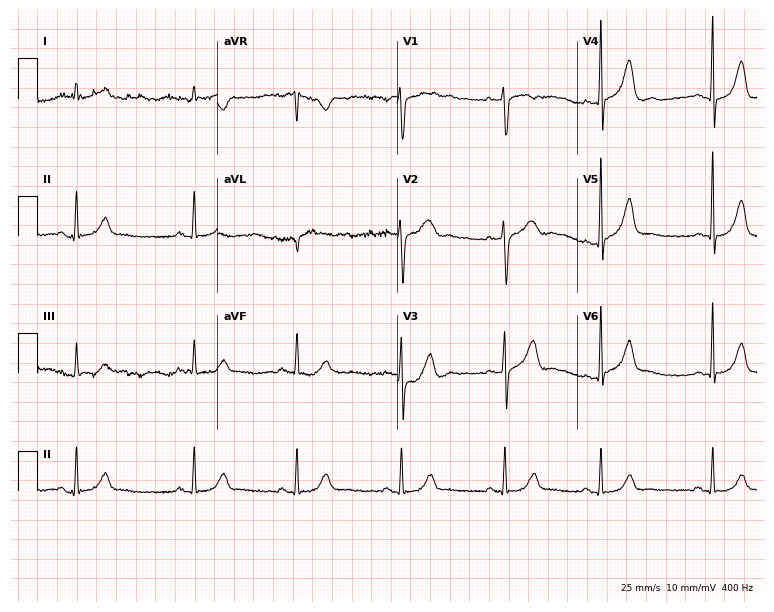
Standard 12-lead ECG recorded from a 43-year-old female. None of these six findings is recorded: first-degree AV block, right bundle branch block (RBBB), left bundle branch block (LBBB), sinus bradycardia, atrial fibrillation (AF), sinus tachycardia.